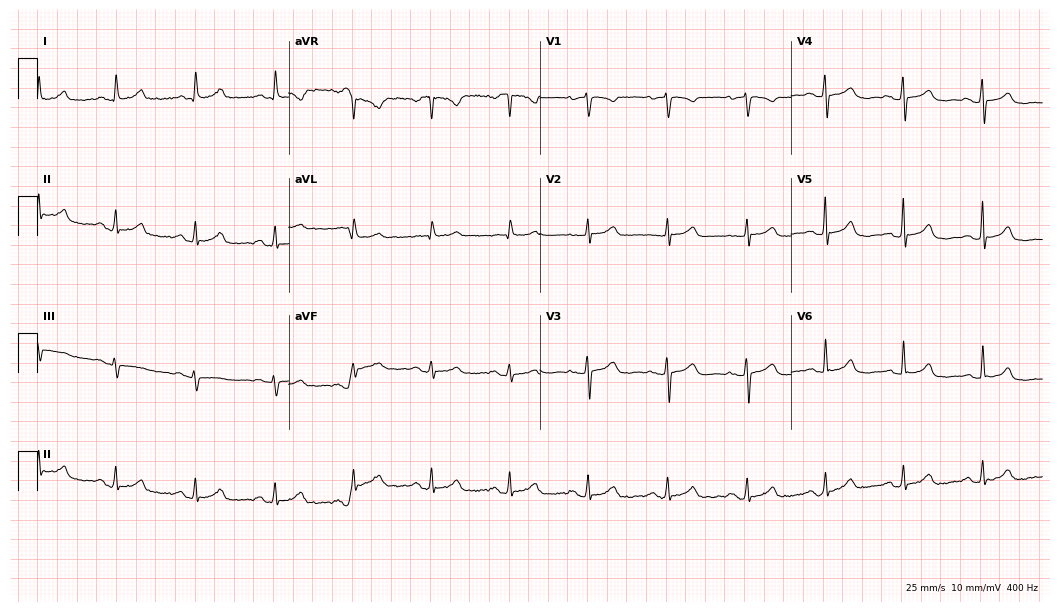
Standard 12-lead ECG recorded from a female patient, 67 years old. Read as a normal ECG.